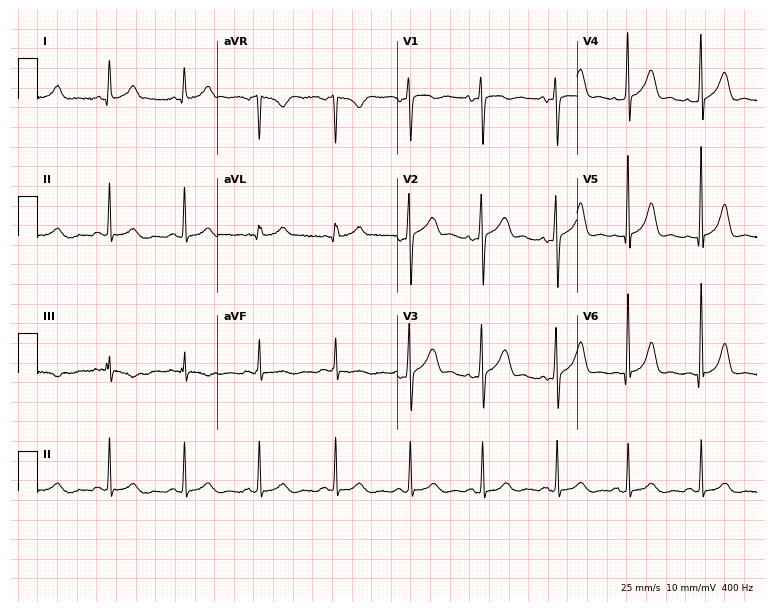
12-lead ECG (7.3-second recording at 400 Hz) from a 46-year-old female. Screened for six findings — first-degree AV block, right bundle branch block, left bundle branch block, sinus bradycardia, atrial fibrillation, sinus tachycardia — none is recorded.